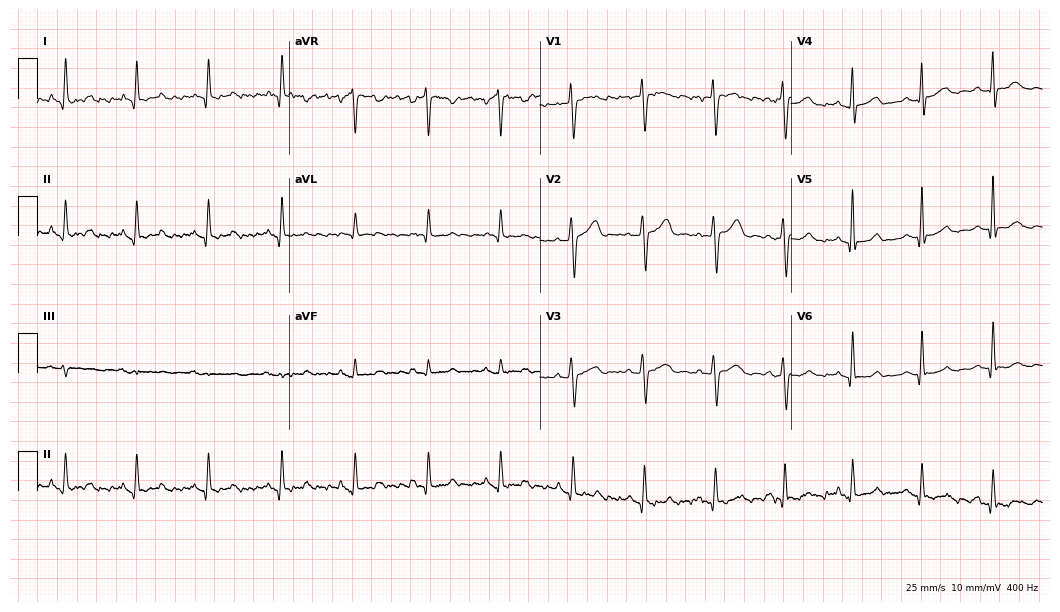
12-lead ECG from a female patient, 52 years old (10.2-second recording at 400 Hz). Recorded interpretation: within normal limits.